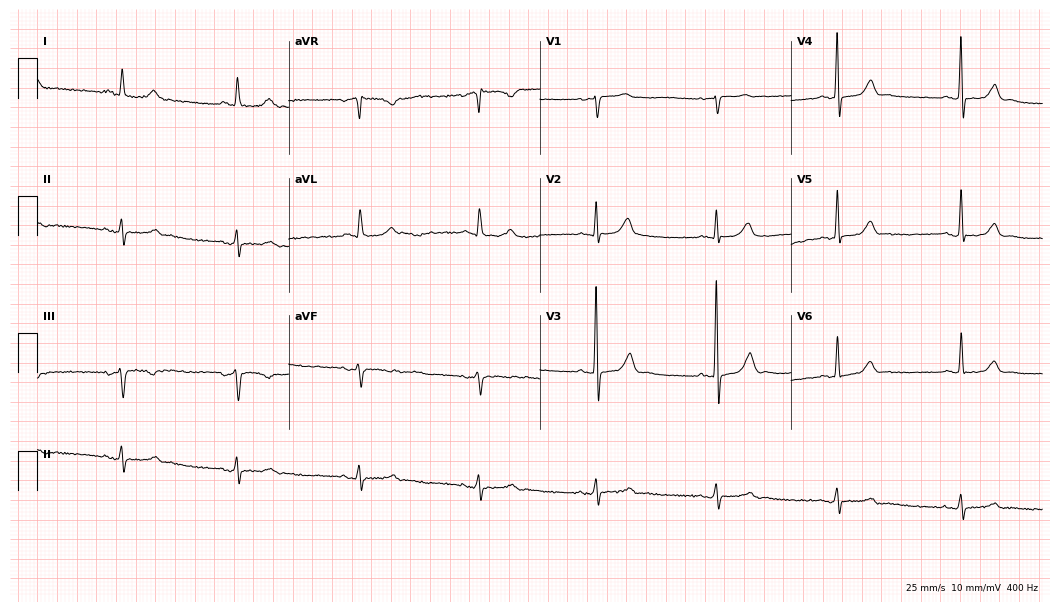
12-lead ECG from a man, 65 years old. Labelled as a normal ECG.